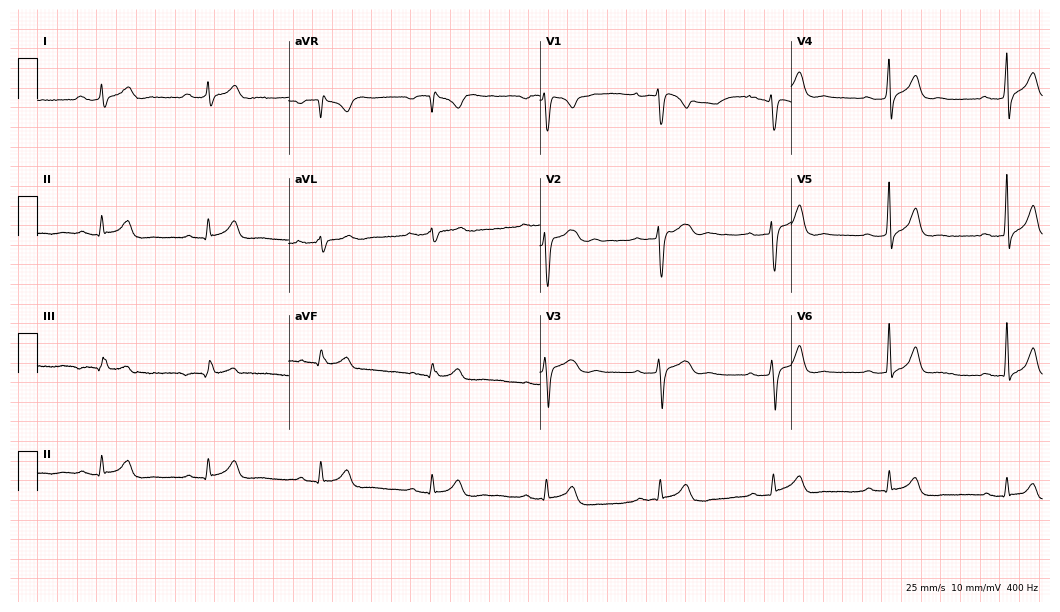
12-lead ECG from a 50-year-old man. No first-degree AV block, right bundle branch block, left bundle branch block, sinus bradycardia, atrial fibrillation or sinus tachycardia recorded for this tracing.